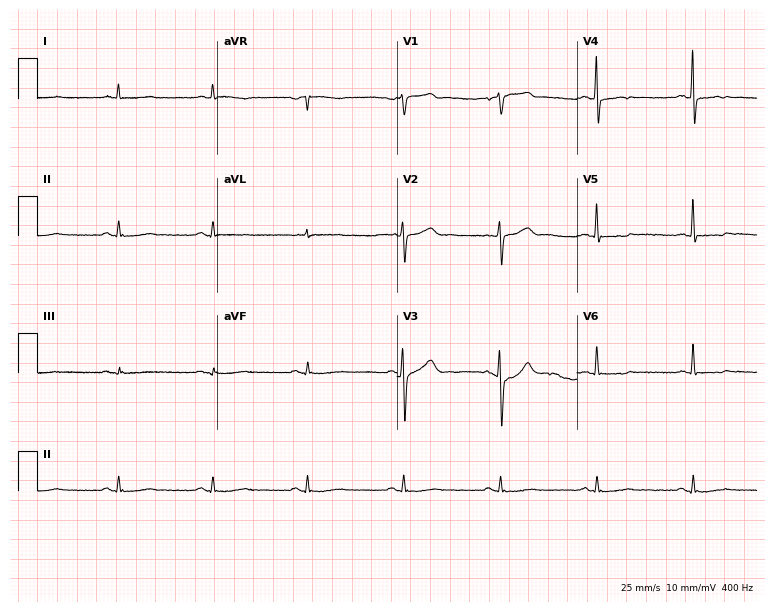
12-lead ECG from a male, 71 years old. Labelled as a normal ECG.